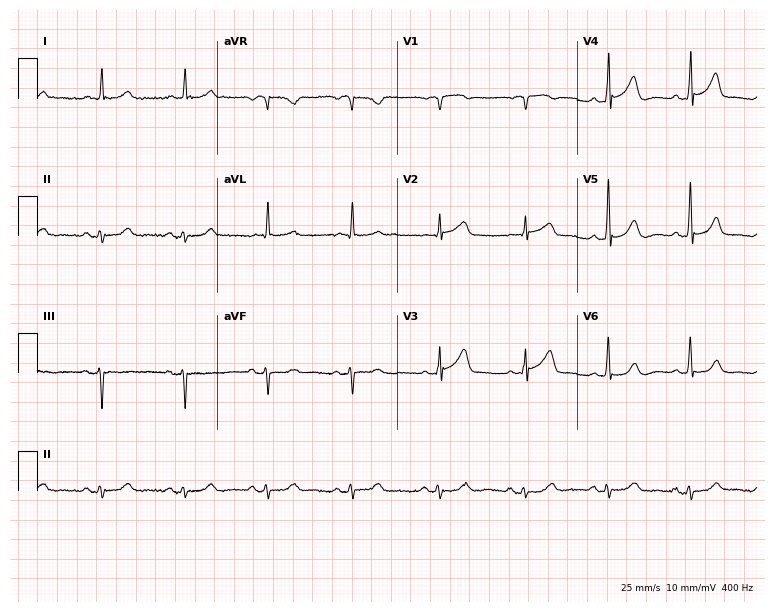
12-lead ECG (7.3-second recording at 400 Hz) from a male patient, 84 years old. Labelled as a normal ECG.